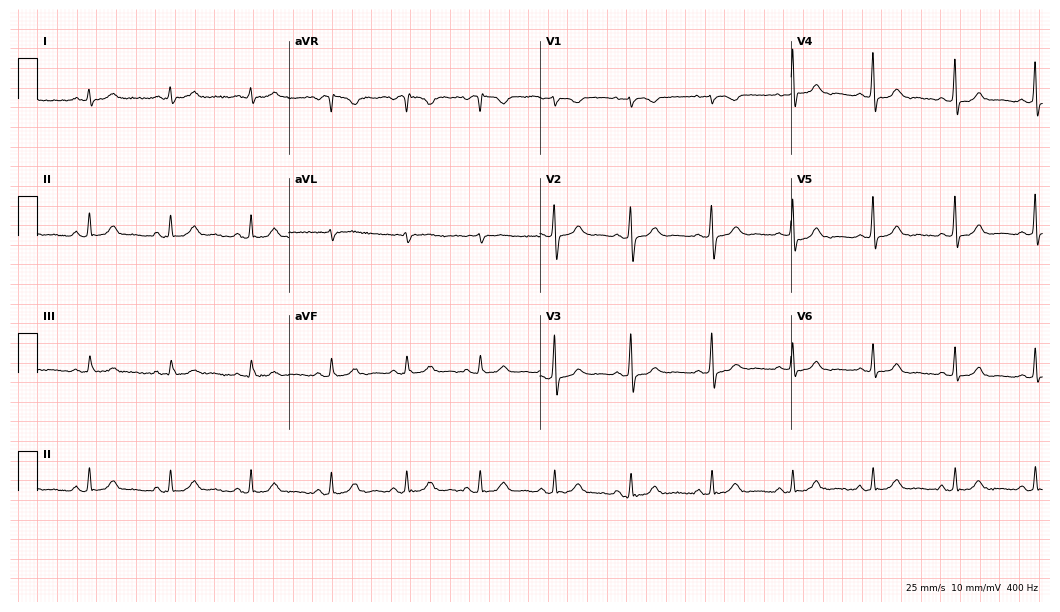
12-lead ECG from a 38-year-old female patient (10.2-second recording at 400 Hz). Recorded interpretation: within normal limits.